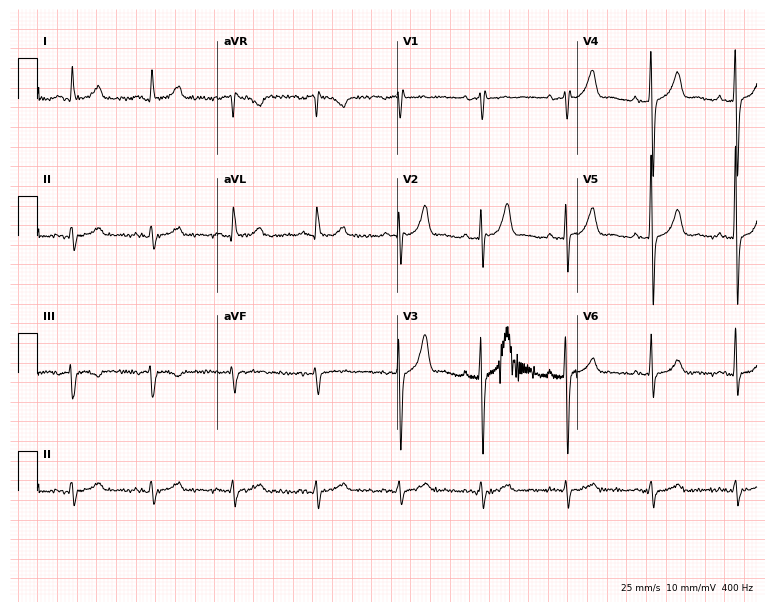
Electrocardiogram, an 82-year-old man. Of the six screened findings (first-degree AV block, right bundle branch block (RBBB), left bundle branch block (LBBB), sinus bradycardia, atrial fibrillation (AF), sinus tachycardia), none is recorded.